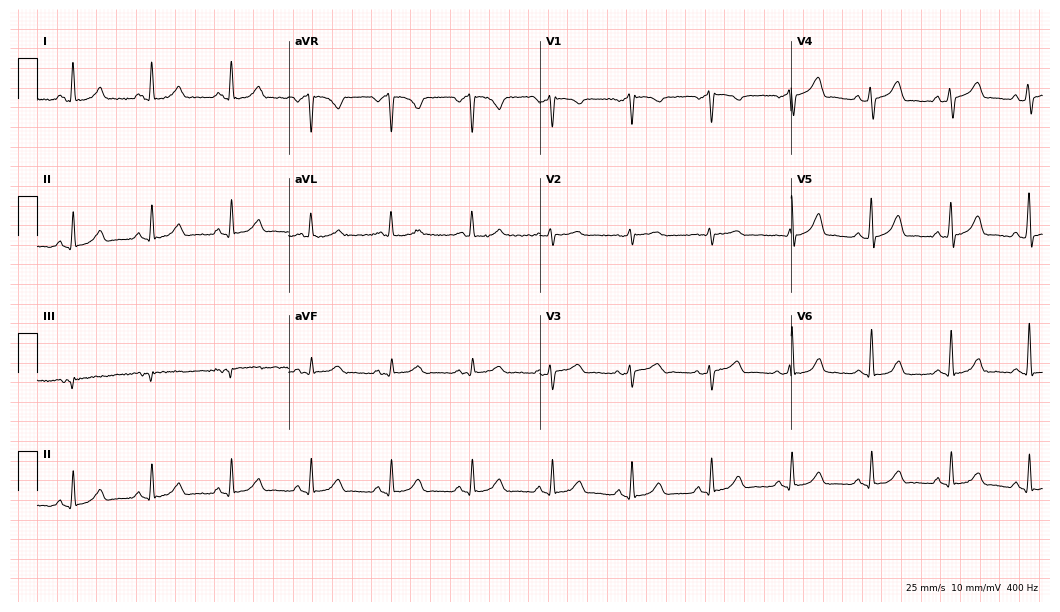
ECG — a 60-year-old woman. Labelled as a normal ECG.